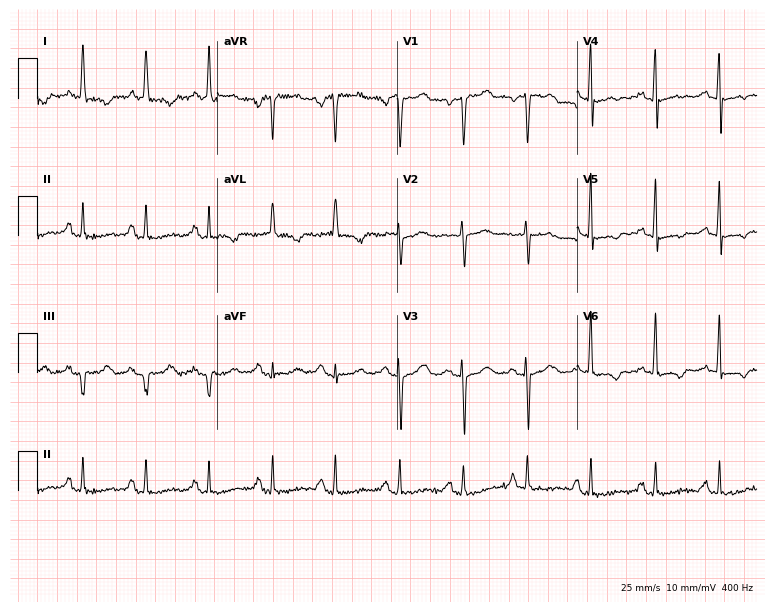
ECG — a woman, 75 years old. Screened for six findings — first-degree AV block, right bundle branch block, left bundle branch block, sinus bradycardia, atrial fibrillation, sinus tachycardia — none is recorded. Other findings, if any, are not listed.